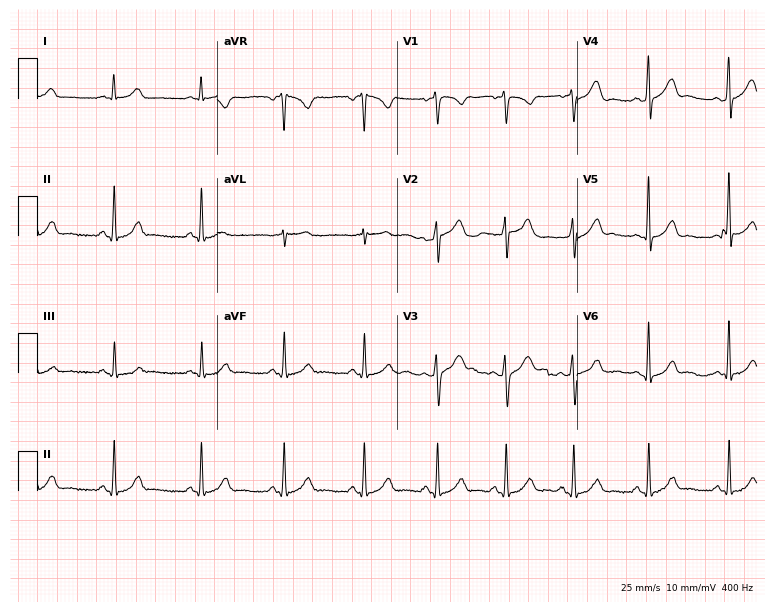
12-lead ECG from a 37-year-old man. Labelled as a normal ECG.